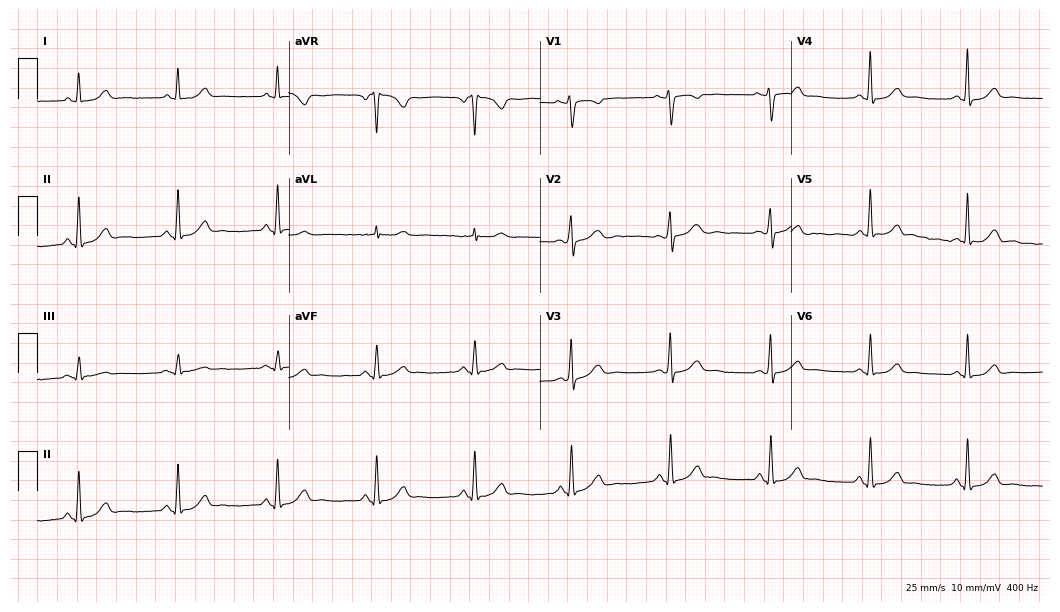
Standard 12-lead ECG recorded from a female patient, 49 years old (10.2-second recording at 400 Hz). Read as a normal ECG.